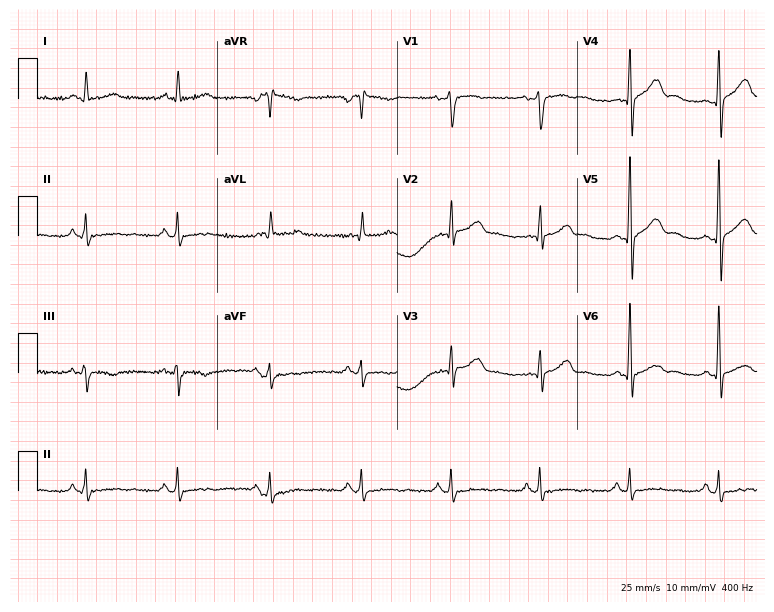
12-lead ECG from a 71-year-old male (7.3-second recording at 400 Hz). No first-degree AV block, right bundle branch block, left bundle branch block, sinus bradycardia, atrial fibrillation or sinus tachycardia recorded for this tracing. Only these six findings were labelled.